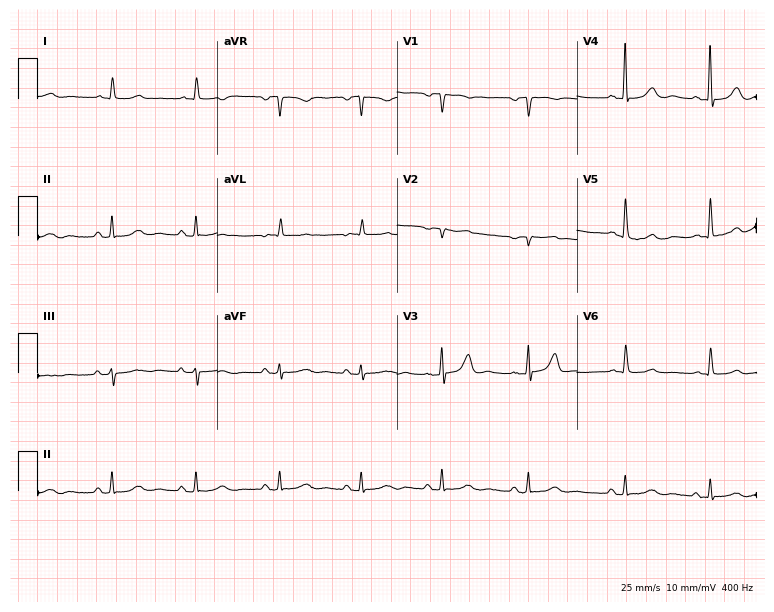
12-lead ECG (7.3-second recording at 400 Hz) from a female patient, 79 years old. Screened for six findings — first-degree AV block, right bundle branch block, left bundle branch block, sinus bradycardia, atrial fibrillation, sinus tachycardia — none is recorded. Other findings, if any, are not listed.